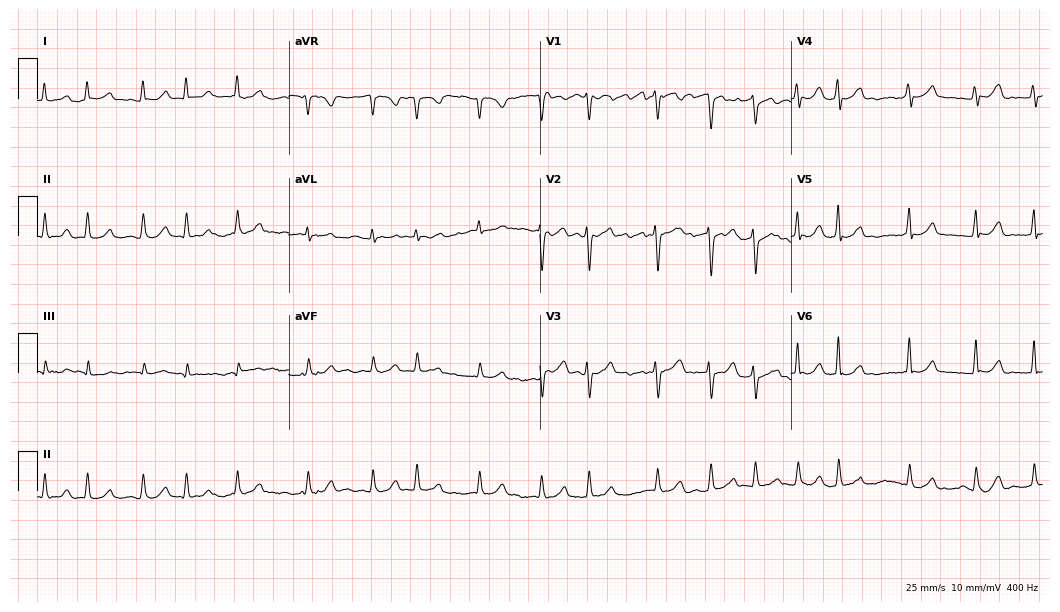
12-lead ECG from a woman, 84 years old. Shows atrial fibrillation.